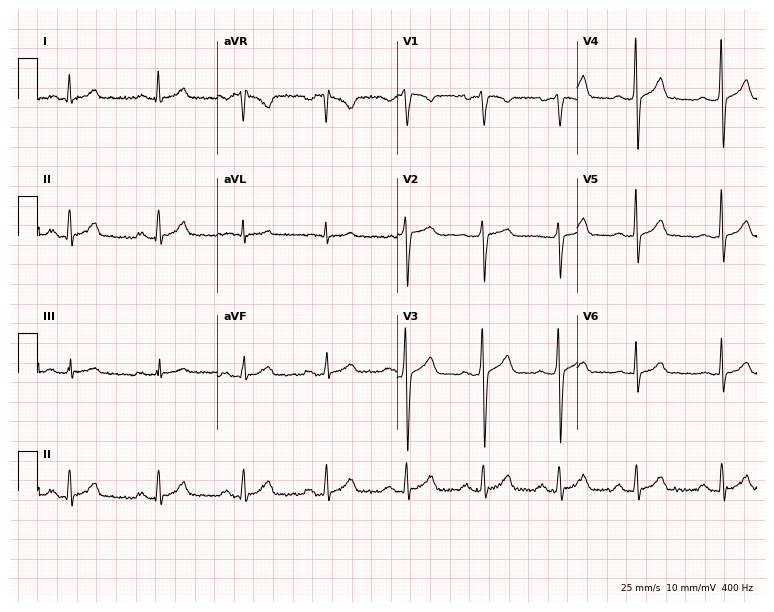
Resting 12-lead electrocardiogram (7.3-second recording at 400 Hz). Patient: a man, 28 years old. Read as a normal ECG.